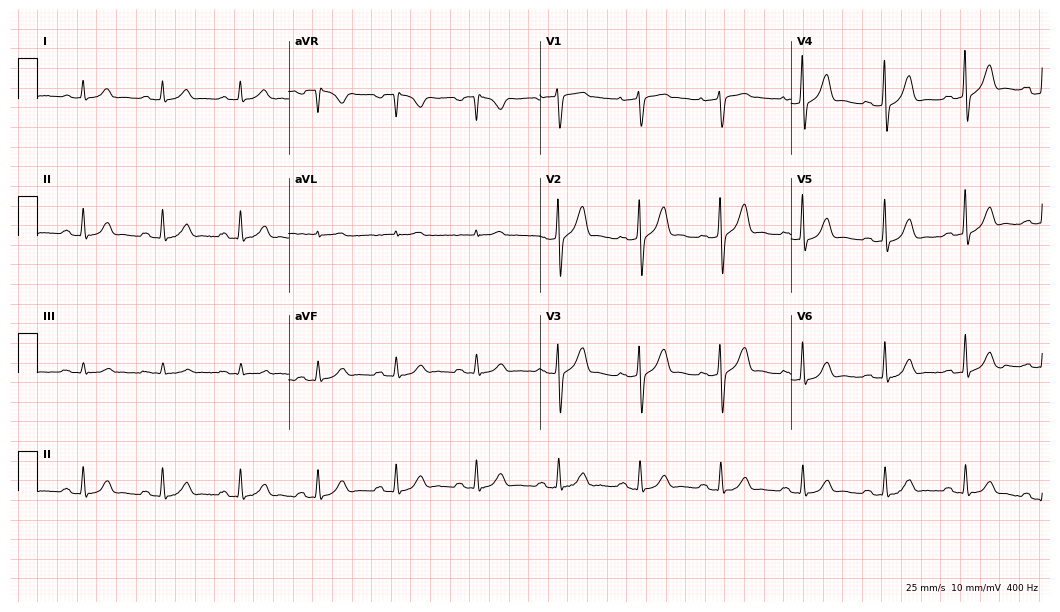
ECG — a man, 71 years old. Labelled as a normal ECG.